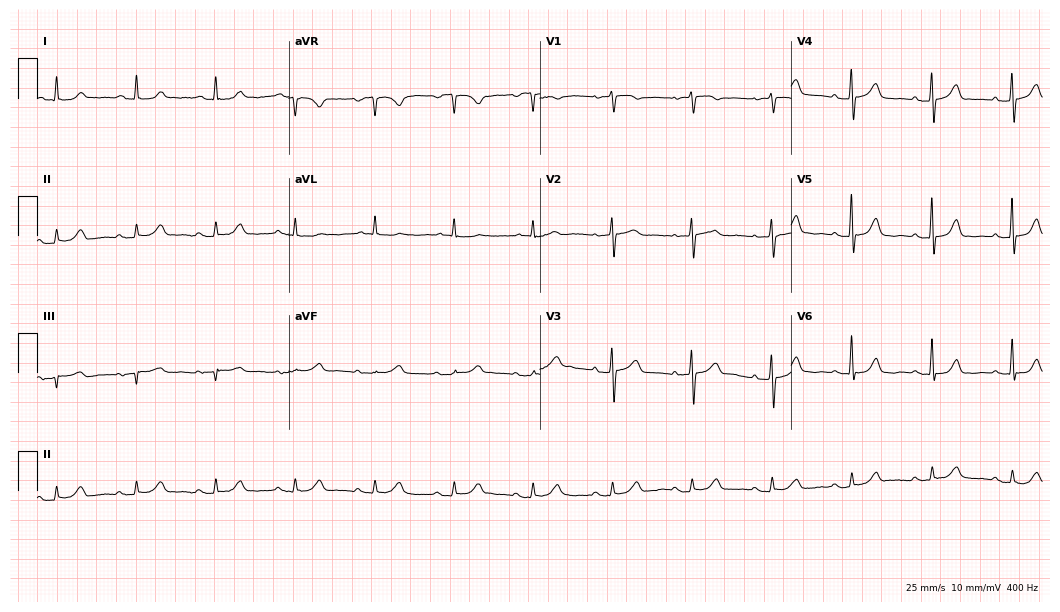
12-lead ECG from an 82-year-old female. Recorded interpretation: within normal limits.